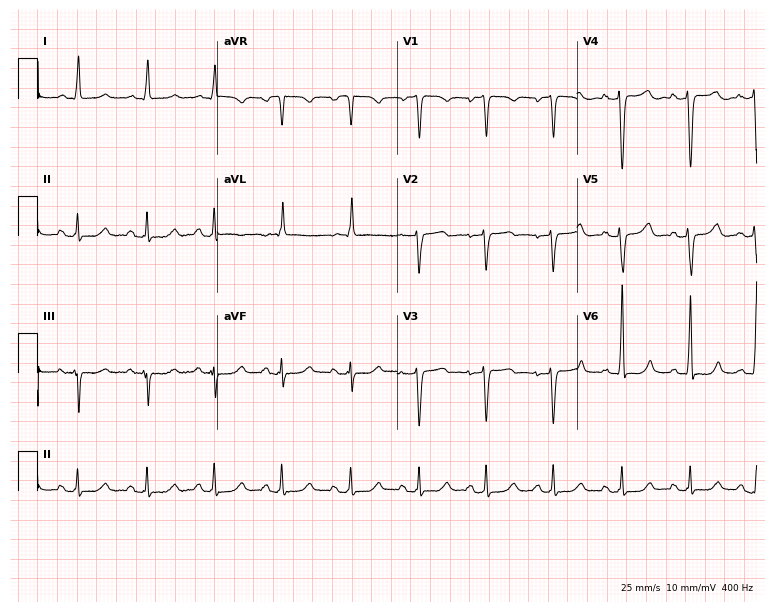
Electrocardiogram, a female patient, 57 years old. Of the six screened findings (first-degree AV block, right bundle branch block, left bundle branch block, sinus bradycardia, atrial fibrillation, sinus tachycardia), none is recorded. Findings outside these six are not listed.